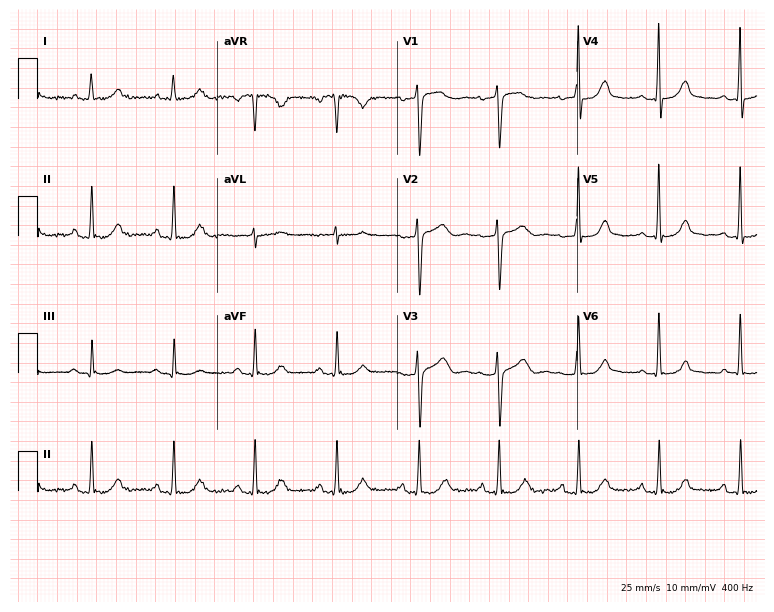
Electrocardiogram (7.3-second recording at 400 Hz), a 70-year-old female. Of the six screened findings (first-degree AV block, right bundle branch block (RBBB), left bundle branch block (LBBB), sinus bradycardia, atrial fibrillation (AF), sinus tachycardia), none is recorded. Findings outside these six are not listed.